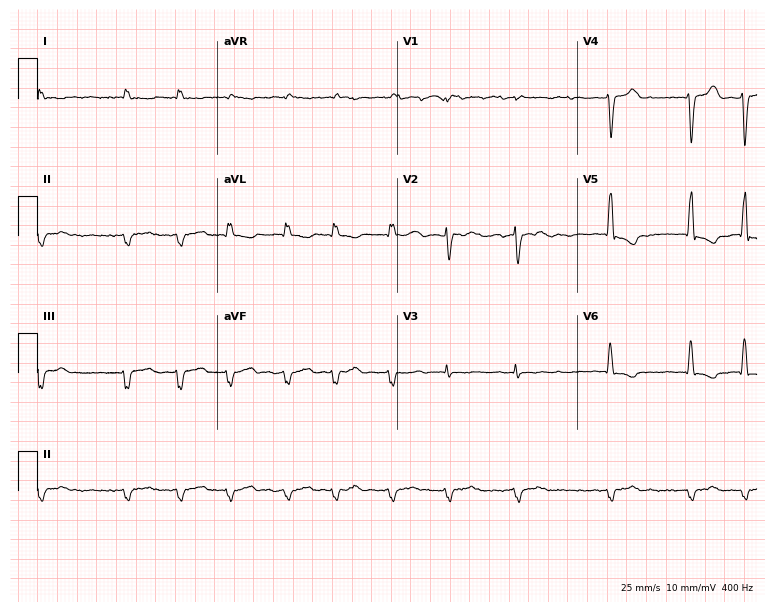
Standard 12-lead ECG recorded from a 76-year-old woman. The tracing shows atrial fibrillation.